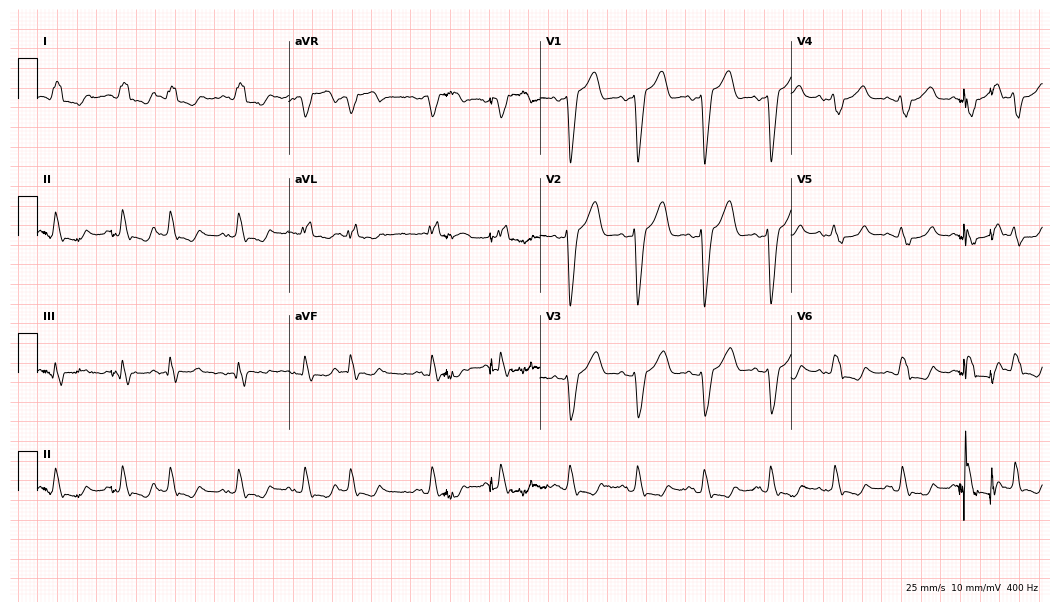
12-lead ECG (10.2-second recording at 400 Hz) from a female patient, 83 years old. Findings include left bundle branch block.